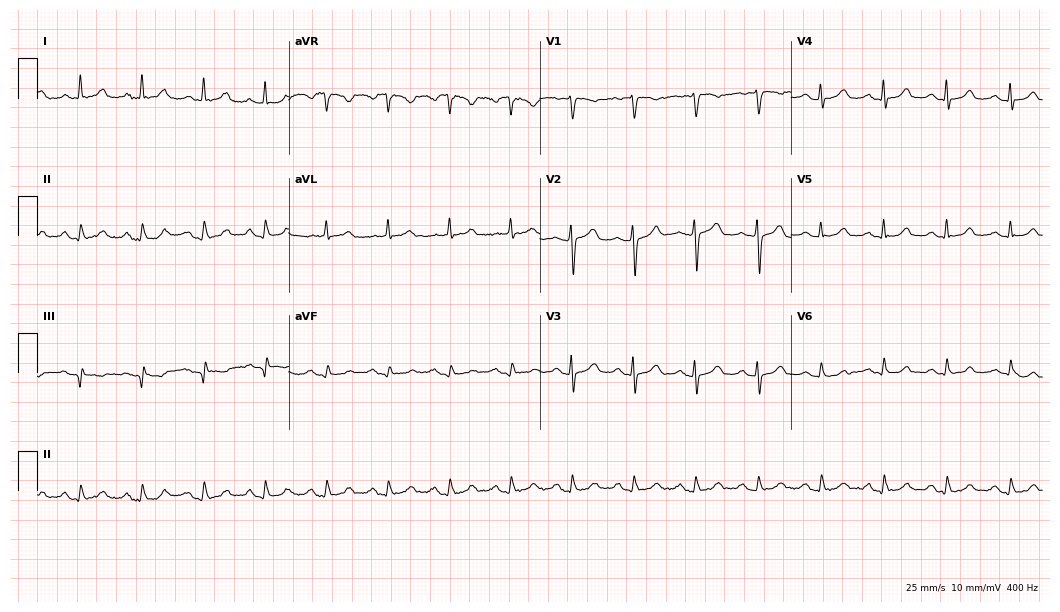
Standard 12-lead ECG recorded from a 75-year-old woman. Read as a normal ECG.